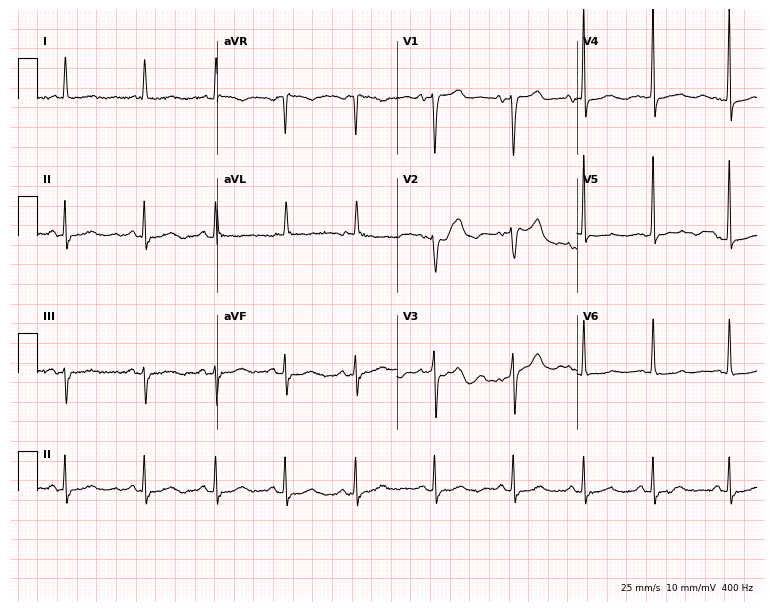
12-lead ECG (7.3-second recording at 400 Hz) from an 80-year-old female. Screened for six findings — first-degree AV block, right bundle branch block (RBBB), left bundle branch block (LBBB), sinus bradycardia, atrial fibrillation (AF), sinus tachycardia — none is recorded.